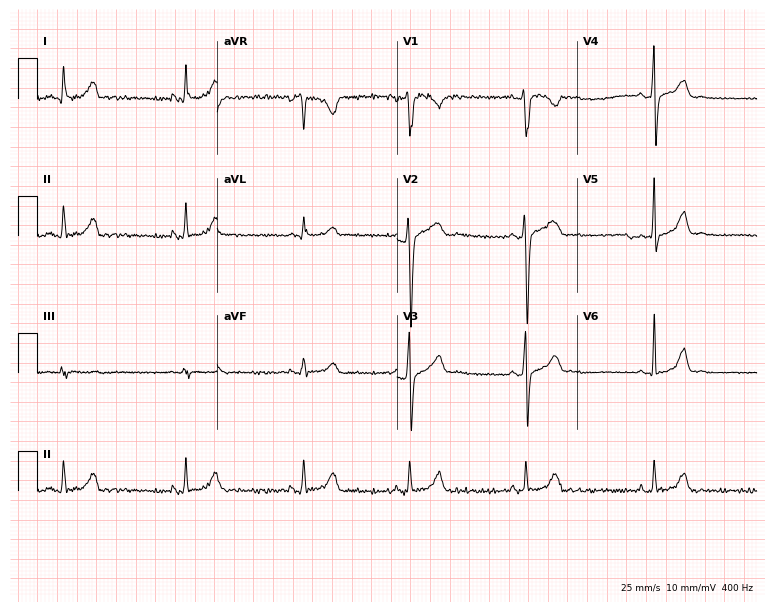
ECG (7.3-second recording at 400 Hz) — a 38-year-old male. Labelled as a normal ECG.